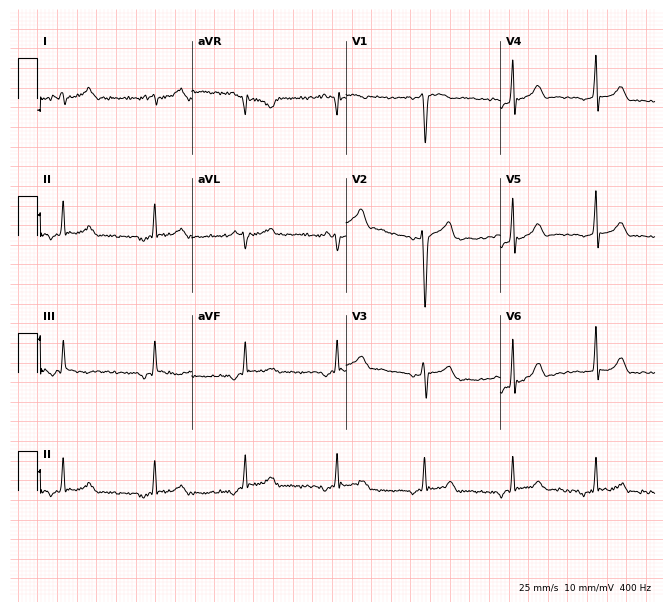
12-lead ECG from a 40-year-old male (6.3-second recording at 400 Hz). No first-degree AV block, right bundle branch block, left bundle branch block, sinus bradycardia, atrial fibrillation or sinus tachycardia recorded for this tracing. Findings outside these six are not listed.